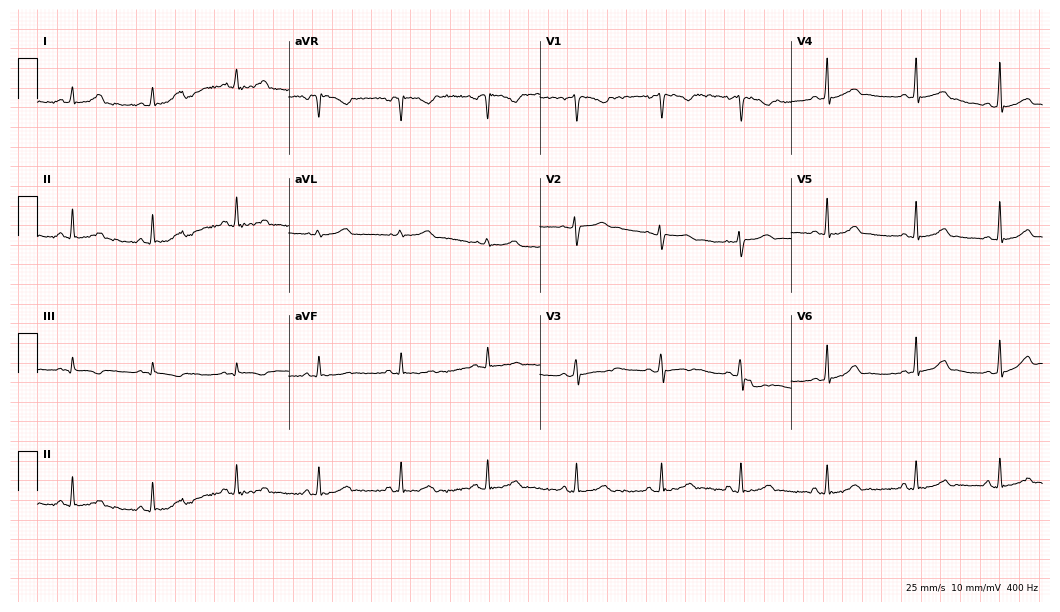
Resting 12-lead electrocardiogram. Patient: a female, 20 years old. Read as a normal ECG.